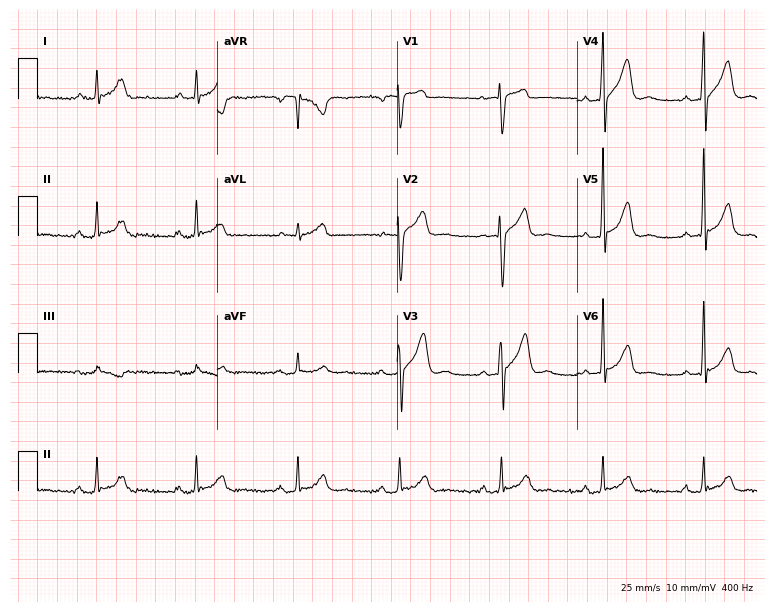
Standard 12-lead ECG recorded from a male, 41 years old (7.3-second recording at 400 Hz). None of these six findings is recorded: first-degree AV block, right bundle branch block (RBBB), left bundle branch block (LBBB), sinus bradycardia, atrial fibrillation (AF), sinus tachycardia.